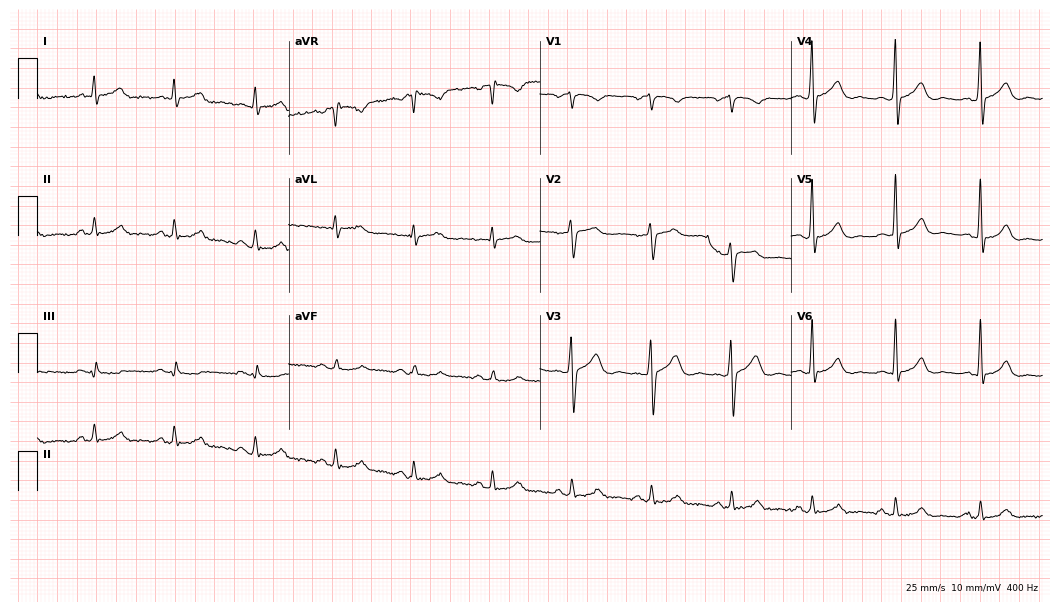
Electrocardiogram, a male patient, 48 years old. Overall reading on record: normal ECG.